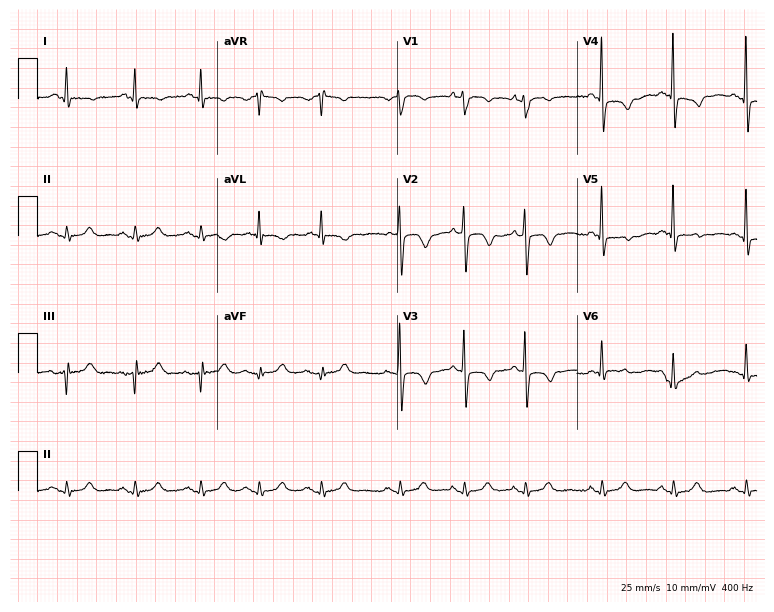
Standard 12-lead ECG recorded from a 75-year-old female patient. None of these six findings is recorded: first-degree AV block, right bundle branch block (RBBB), left bundle branch block (LBBB), sinus bradycardia, atrial fibrillation (AF), sinus tachycardia.